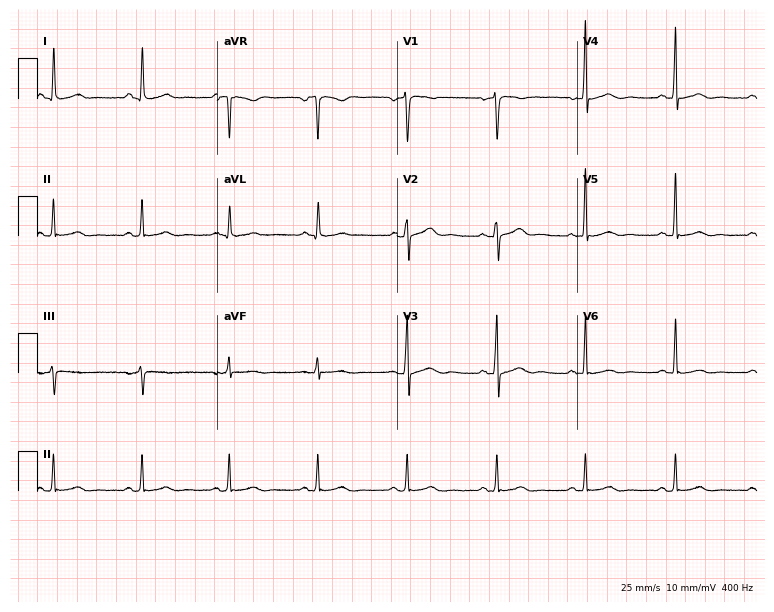
12-lead ECG (7.3-second recording at 400 Hz) from a 50-year-old female. Screened for six findings — first-degree AV block, right bundle branch block, left bundle branch block, sinus bradycardia, atrial fibrillation, sinus tachycardia — none is recorded. Findings outside these six are not listed.